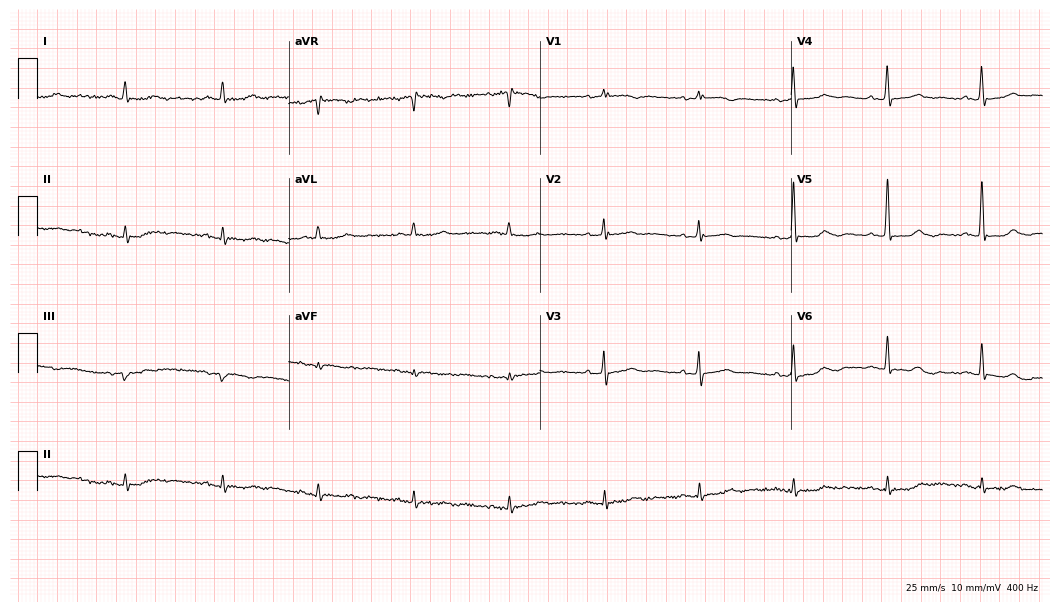
ECG — a woman, 69 years old. Screened for six findings — first-degree AV block, right bundle branch block, left bundle branch block, sinus bradycardia, atrial fibrillation, sinus tachycardia — none is recorded.